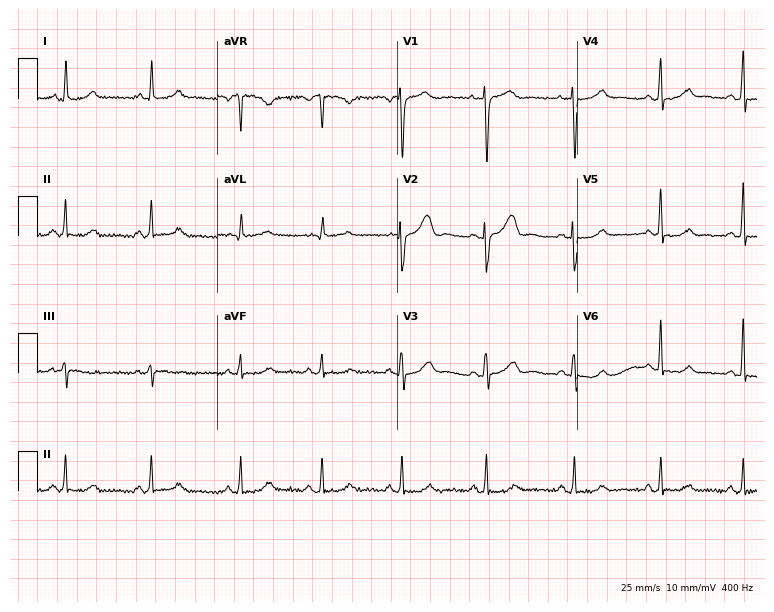
Standard 12-lead ECG recorded from a woman, 42 years old (7.3-second recording at 400 Hz). None of these six findings is recorded: first-degree AV block, right bundle branch block, left bundle branch block, sinus bradycardia, atrial fibrillation, sinus tachycardia. Findings outside these six are not listed.